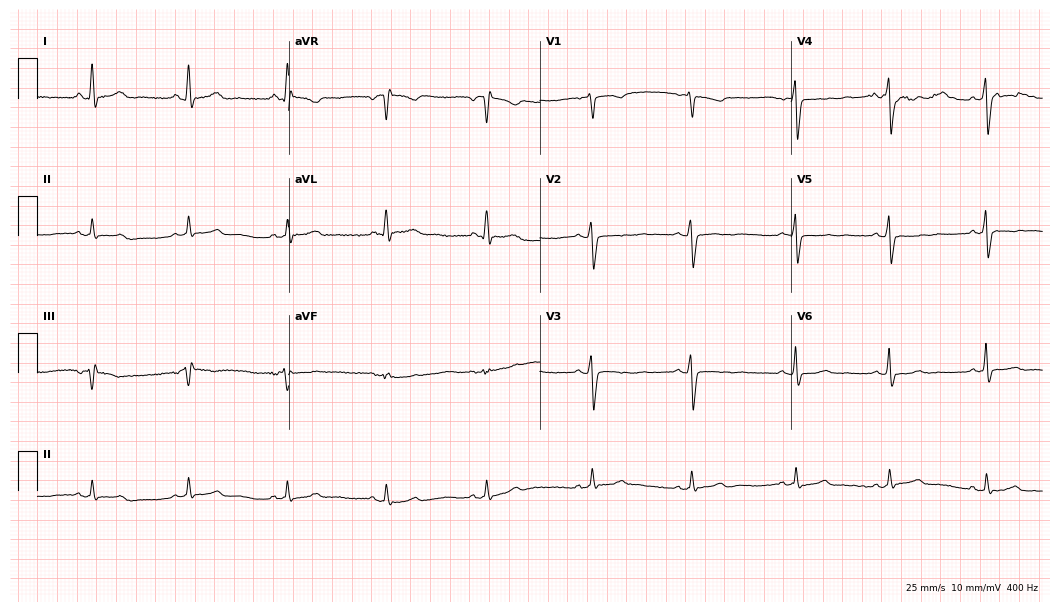
Electrocardiogram, a 46-year-old female. Of the six screened findings (first-degree AV block, right bundle branch block, left bundle branch block, sinus bradycardia, atrial fibrillation, sinus tachycardia), none is recorded. Findings outside these six are not listed.